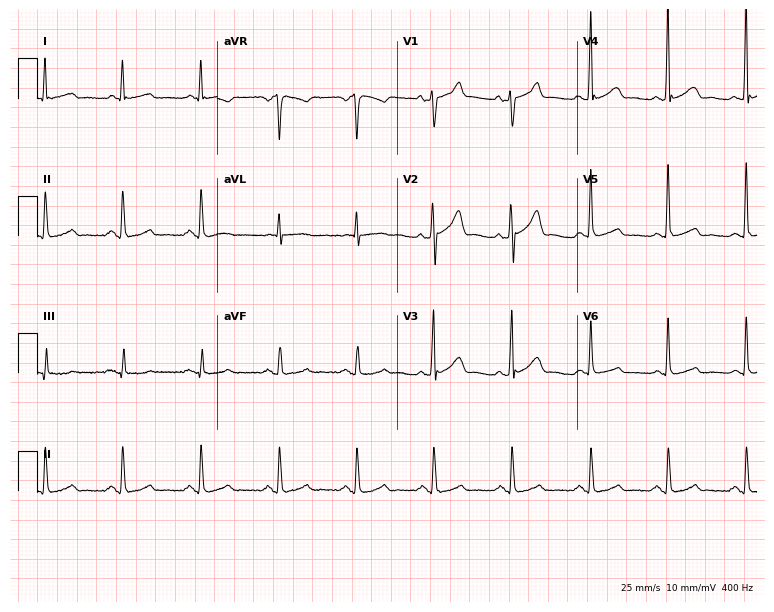
Resting 12-lead electrocardiogram. Patient: a 52-year-old man. Read as a normal ECG.